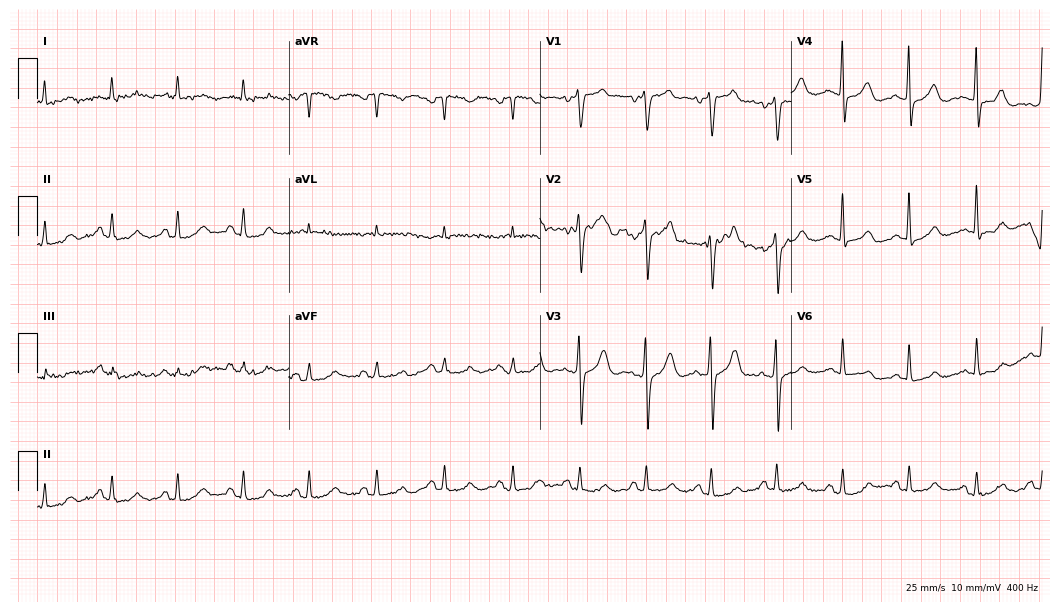
Electrocardiogram (10.2-second recording at 400 Hz), a 72-year-old man. Of the six screened findings (first-degree AV block, right bundle branch block, left bundle branch block, sinus bradycardia, atrial fibrillation, sinus tachycardia), none is recorded.